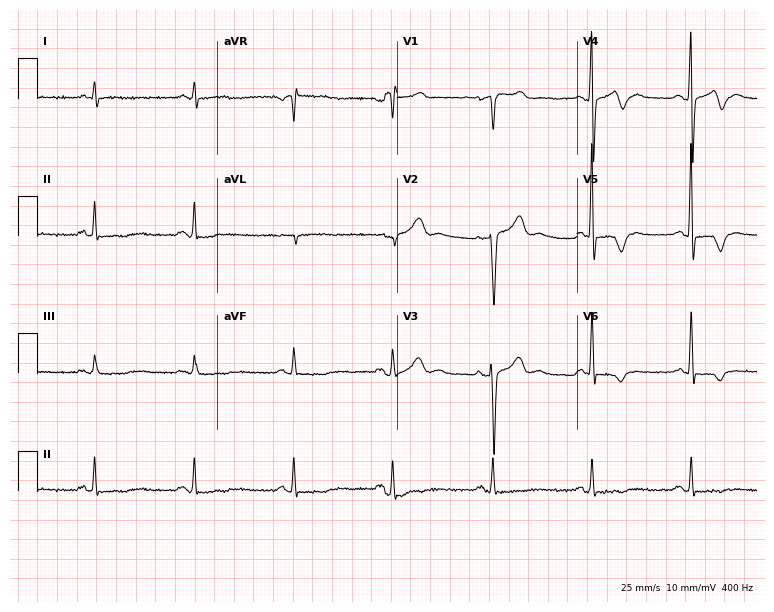
12-lead ECG from a man, 67 years old (7.3-second recording at 400 Hz). No first-degree AV block, right bundle branch block (RBBB), left bundle branch block (LBBB), sinus bradycardia, atrial fibrillation (AF) or sinus tachycardia recorded for this tracing. Findings outside these six are not listed.